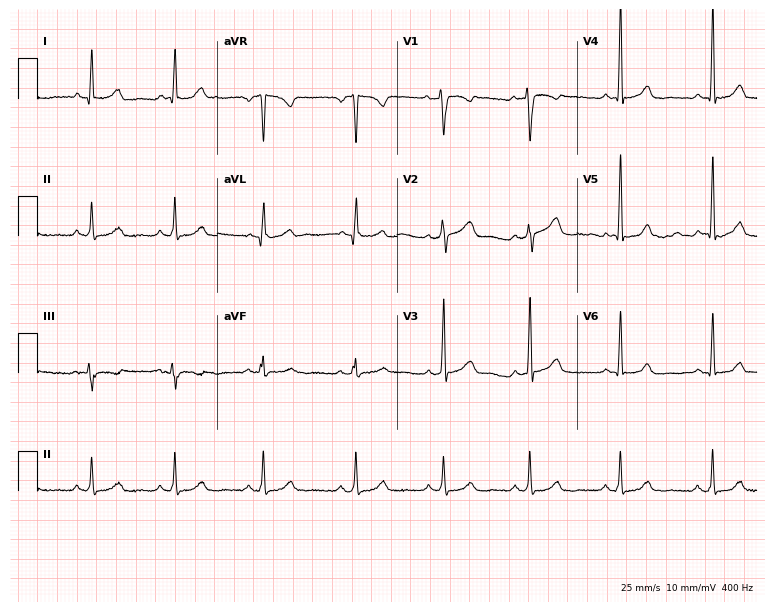
ECG — a 45-year-old female. Screened for six findings — first-degree AV block, right bundle branch block, left bundle branch block, sinus bradycardia, atrial fibrillation, sinus tachycardia — none is recorded. Only these six findings were labelled.